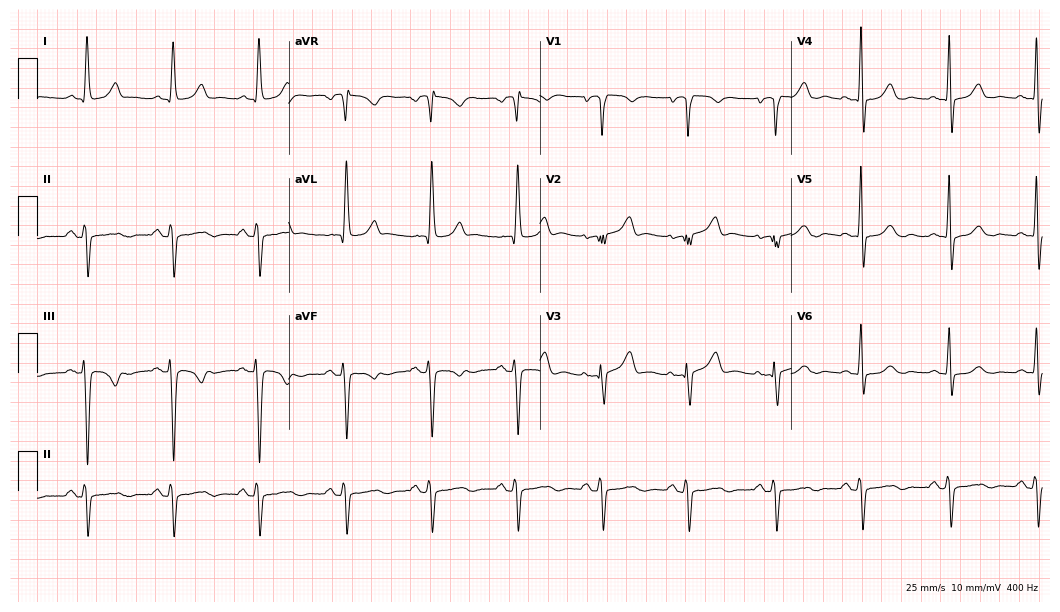
12-lead ECG from a female patient, 64 years old. No first-degree AV block, right bundle branch block, left bundle branch block, sinus bradycardia, atrial fibrillation or sinus tachycardia recorded for this tracing.